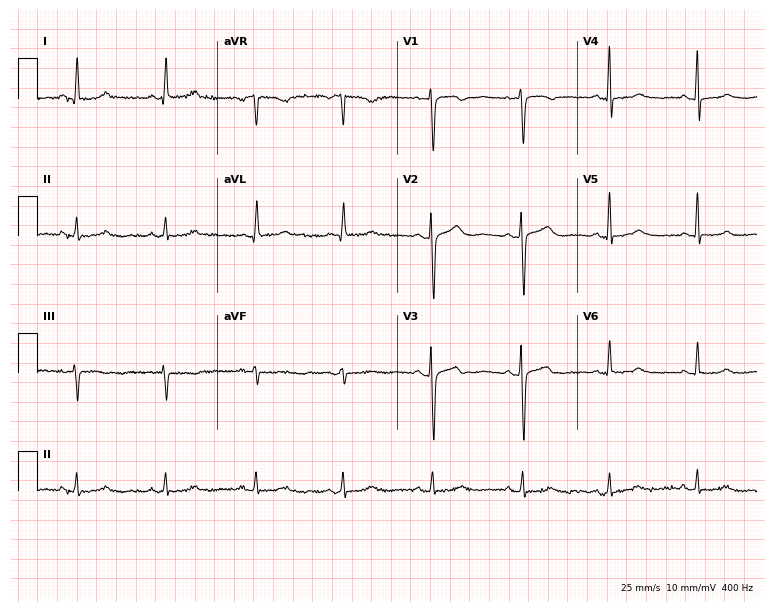
Standard 12-lead ECG recorded from a female, 47 years old. None of these six findings is recorded: first-degree AV block, right bundle branch block, left bundle branch block, sinus bradycardia, atrial fibrillation, sinus tachycardia. Other findings, if any, are not listed.